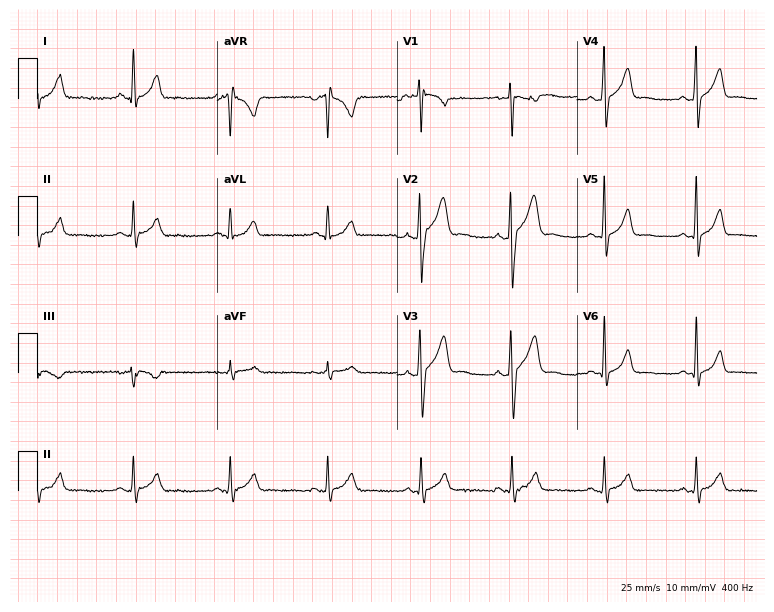
Resting 12-lead electrocardiogram (7.3-second recording at 400 Hz). Patient: a male, 30 years old. Read as a normal ECG.